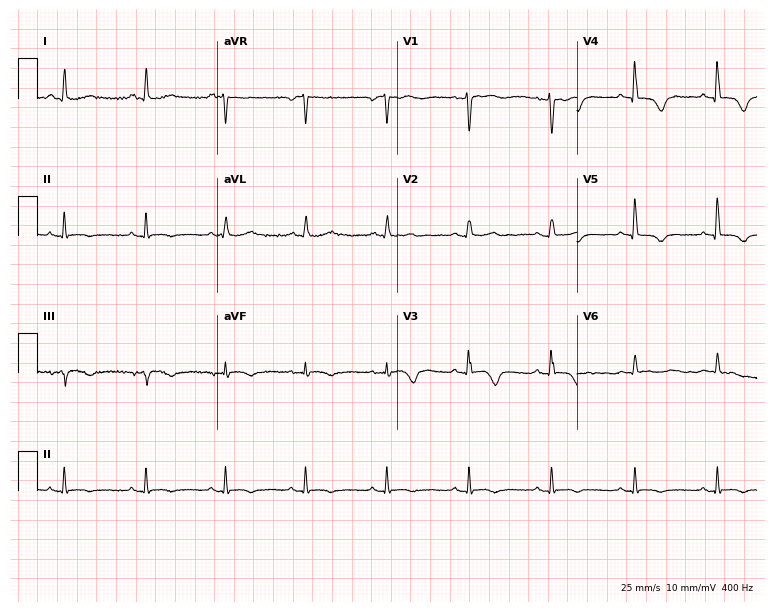
12-lead ECG from a 78-year-old woman (7.3-second recording at 400 Hz). No first-degree AV block, right bundle branch block (RBBB), left bundle branch block (LBBB), sinus bradycardia, atrial fibrillation (AF) or sinus tachycardia recorded for this tracing.